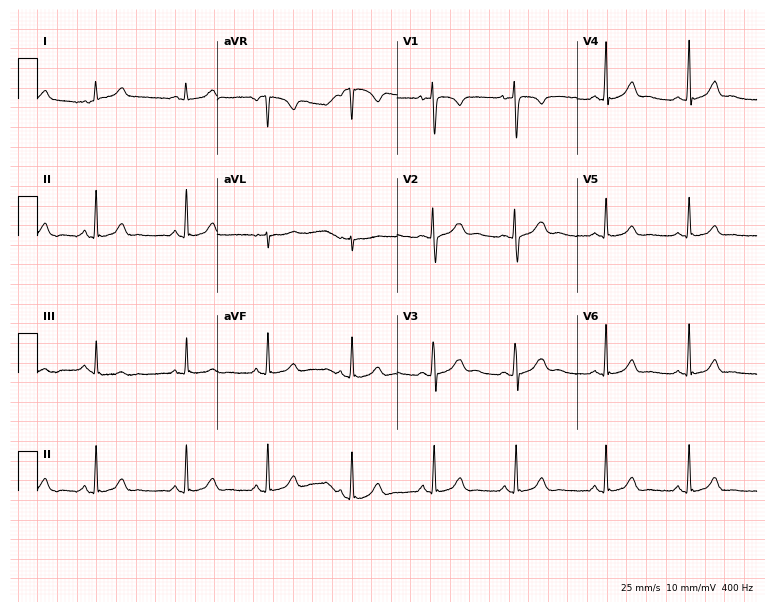
ECG — a female patient, 17 years old. Labelled as a normal ECG.